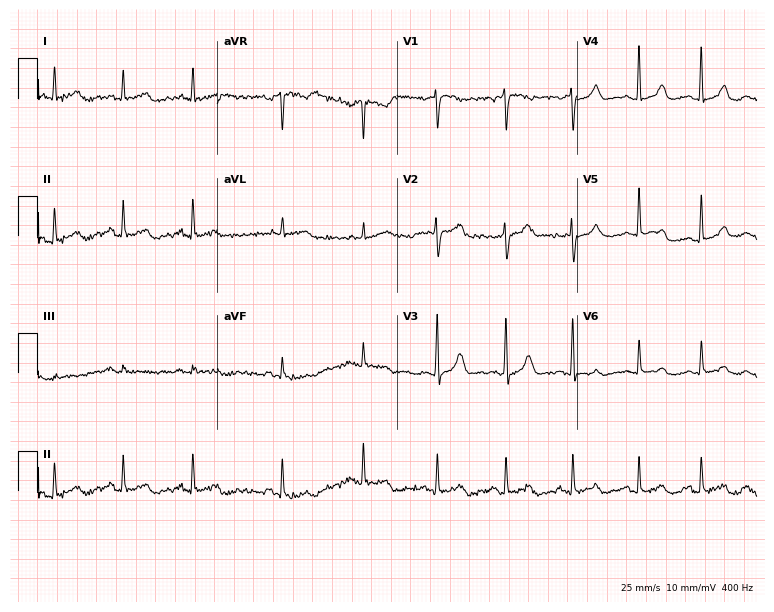
Resting 12-lead electrocardiogram (7.3-second recording at 400 Hz). Patient: a woman, 45 years old. None of these six findings is recorded: first-degree AV block, right bundle branch block (RBBB), left bundle branch block (LBBB), sinus bradycardia, atrial fibrillation (AF), sinus tachycardia. Findings outside these six are not listed.